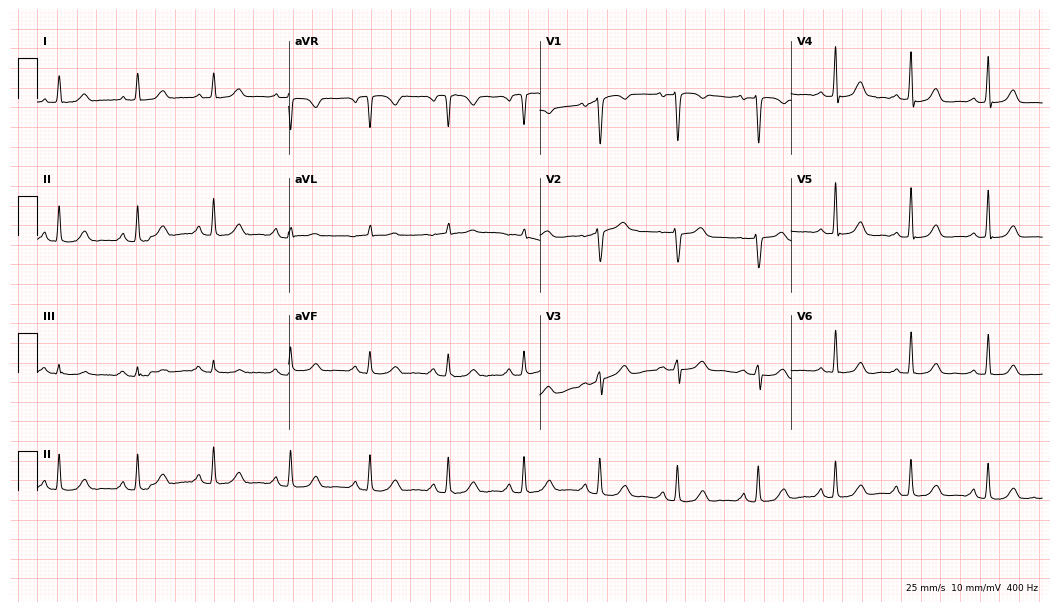
12-lead ECG from a woman, 51 years old. Labelled as a normal ECG.